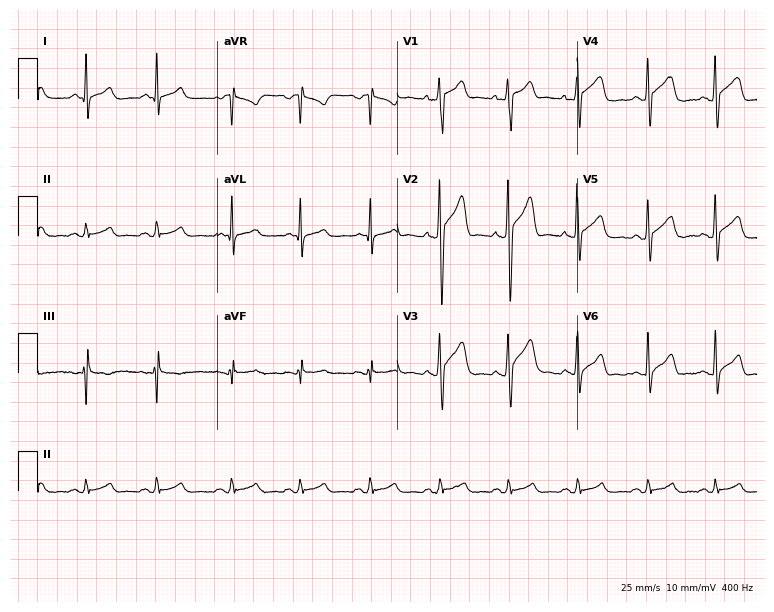
Standard 12-lead ECG recorded from a male, 33 years old. None of these six findings is recorded: first-degree AV block, right bundle branch block (RBBB), left bundle branch block (LBBB), sinus bradycardia, atrial fibrillation (AF), sinus tachycardia. Findings outside these six are not listed.